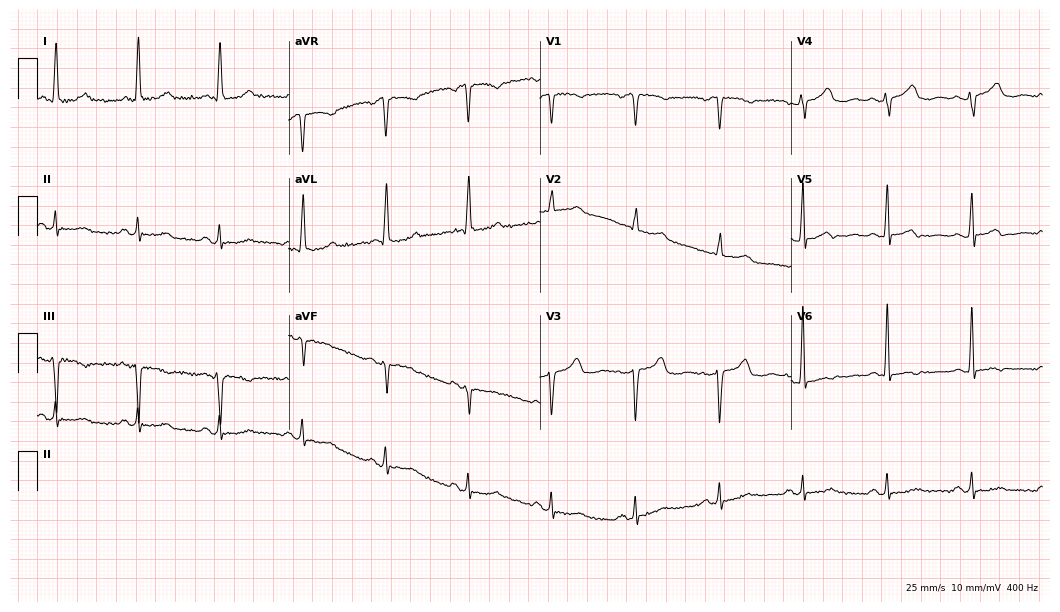
ECG — a woman, 83 years old. Labelled as a normal ECG.